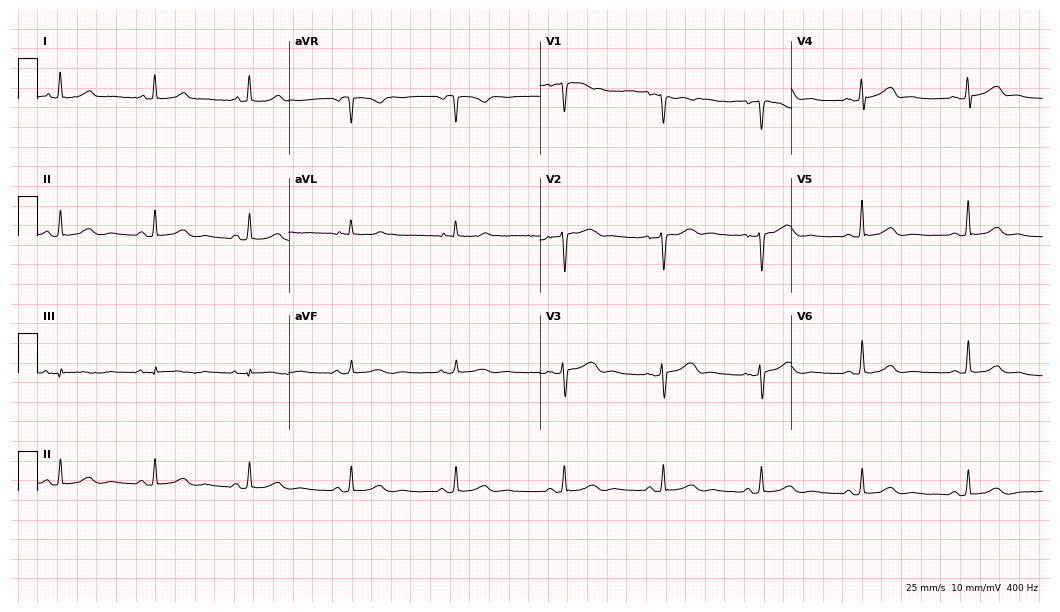
Standard 12-lead ECG recorded from a 55-year-old female. Read as a normal ECG.